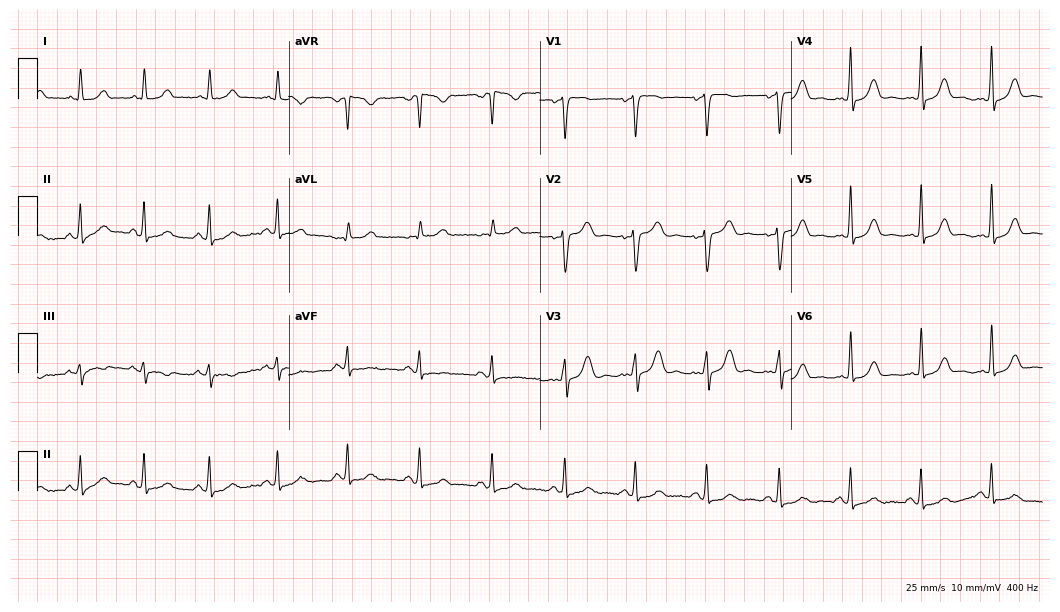
ECG (10.2-second recording at 400 Hz) — a woman, 40 years old. Screened for six findings — first-degree AV block, right bundle branch block, left bundle branch block, sinus bradycardia, atrial fibrillation, sinus tachycardia — none is recorded.